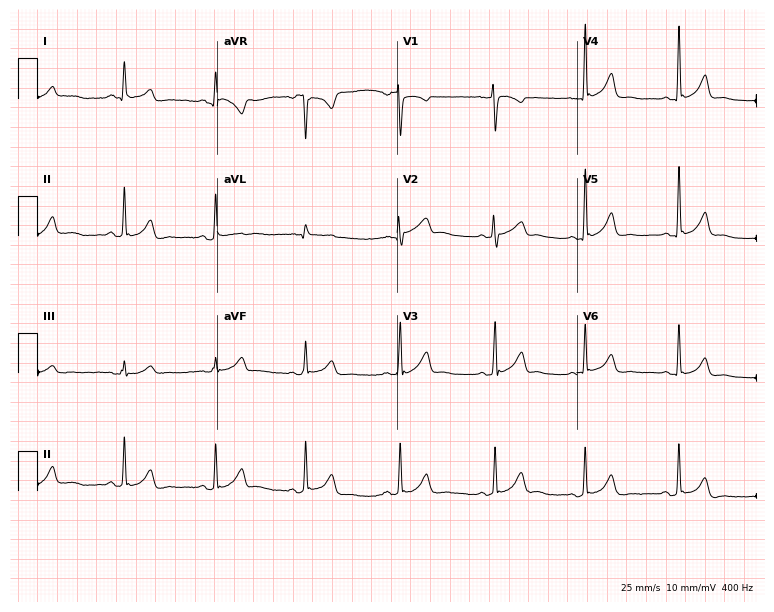
Standard 12-lead ECG recorded from a 34-year-old female. None of these six findings is recorded: first-degree AV block, right bundle branch block (RBBB), left bundle branch block (LBBB), sinus bradycardia, atrial fibrillation (AF), sinus tachycardia. Findings outside these six are not listed.